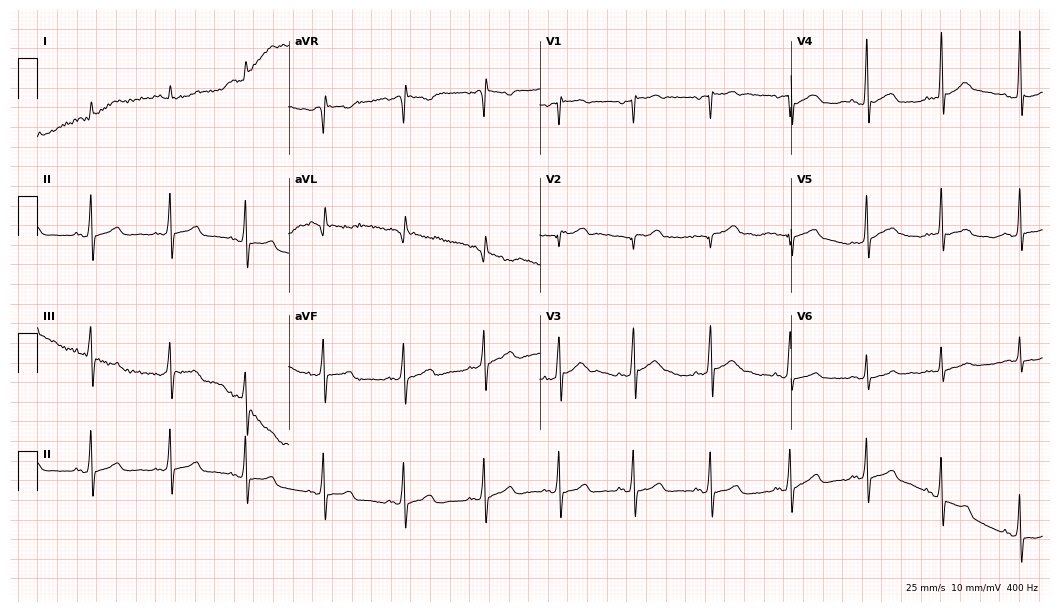
Standard 12-lead ECG recorded from a male, 32 years old (10.2-second recording at 400 Hz). None of these six findings is recorded: first-degree AV block, right bundle branch block (RBBB), left bundle branch block (LBBB), sinus bradycardia, atrial fibrillation (AF), sinus tachycardia. Only these six findings were labelled.